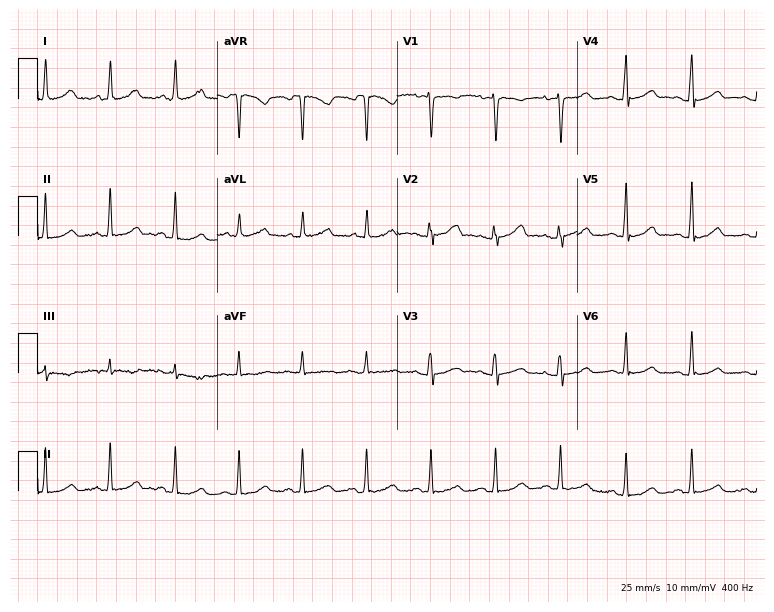
ECG (7.3-second recording at 400 Hz) — a female, 40 years old. Labelled as a normal ECG.